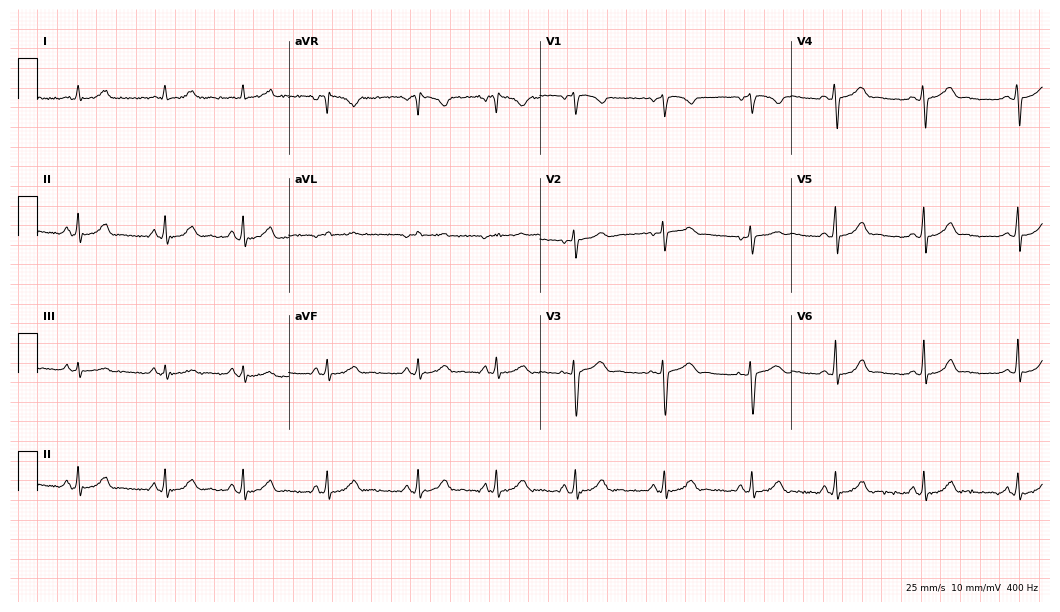
12-lead ECG from a 19-year-old female patient (10.2-second recording at 400 Hz). Recorded interpretation: within normal limits.